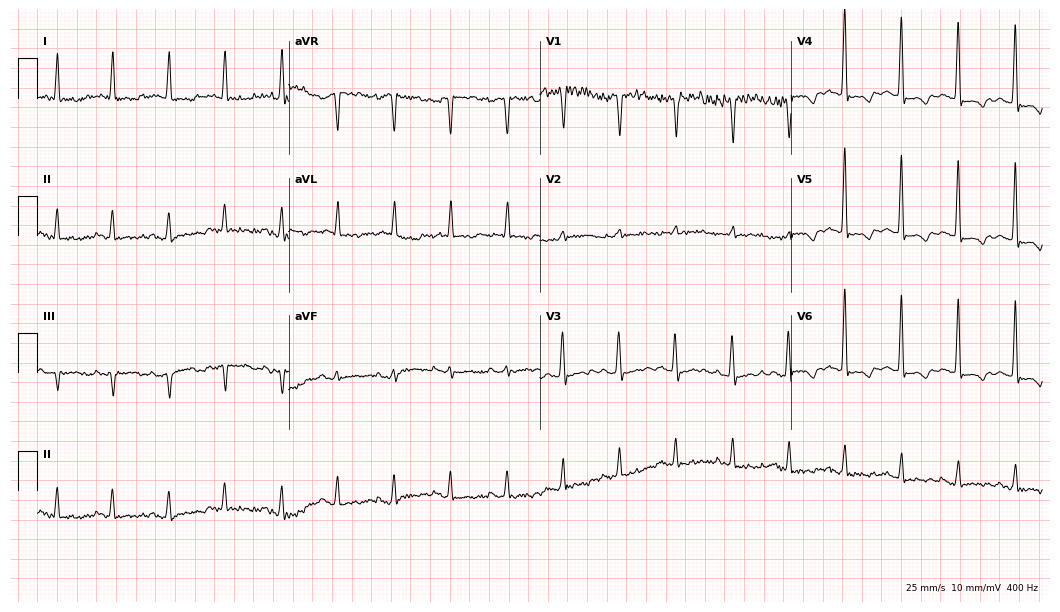
ECG — an 81-year-old female patient. Screened for six findings — first-degree AV block, right bundle branch block (RBBB), left bundle branch block (LBBB), sinus bradycardia, atrial fibrillation (AF), sinus tachycardia — none is recorded.